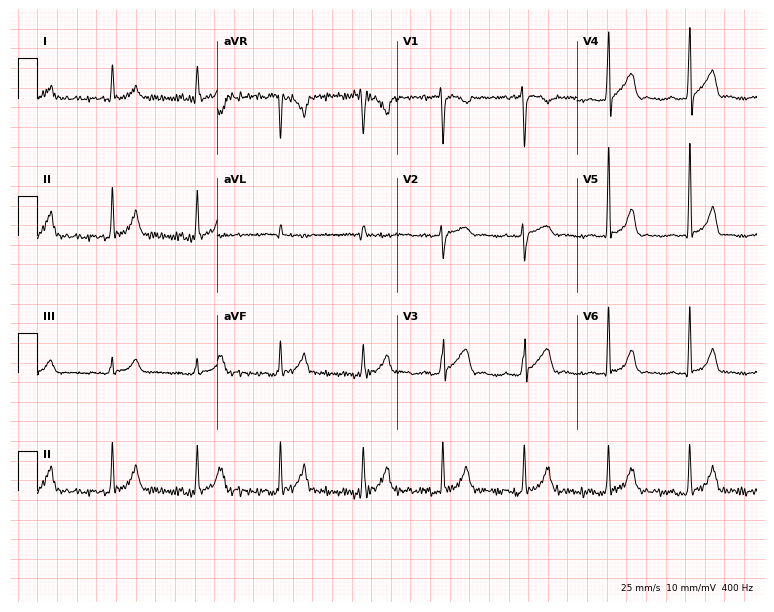
ECG (7.3-second recording at 400 Hz) — a 25-year-old male patient. Labelled as a normal ECG.